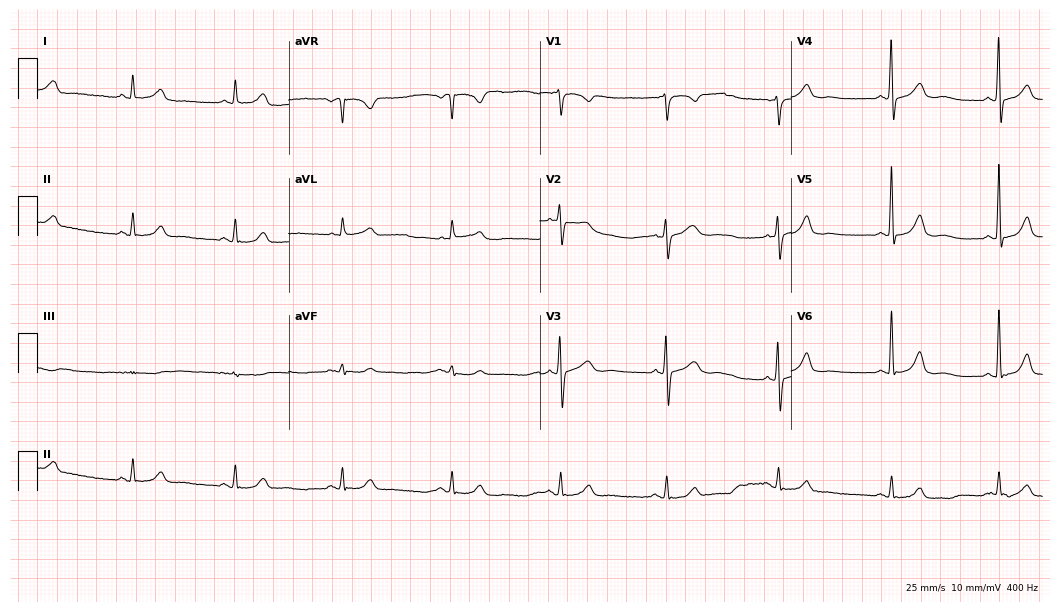
Standard 12-lead ECG recorded from a 53-year-old male (10.2-second recording at 400 Hz). Read as a normal ECG.